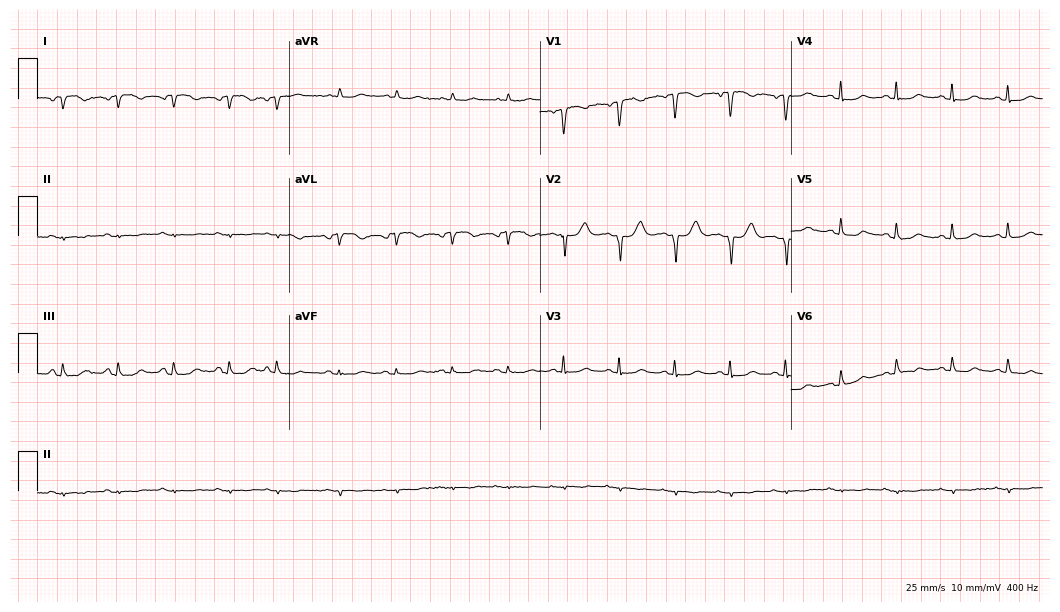
Standard 12-lead ECG recorded from an 80-year-old female. None of these six findings is recorded: first-degree AV block, right bundle branch block (RBBB), left bundle branch block (LBBB), sinus bradycardia, atrial fibrillation (AF), sinus tachycardia.